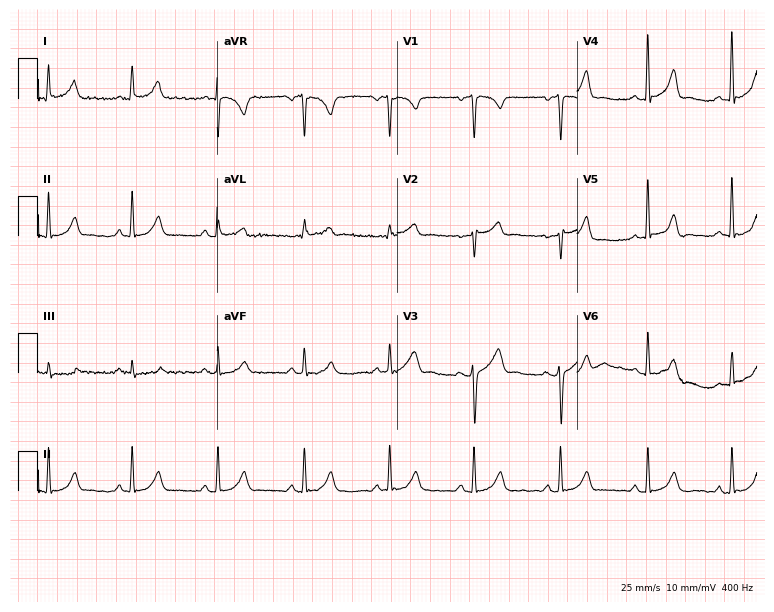
Standard 12-lead ECG recorded from a female patient, 24 years old (7.3-second recording at 400 Hz). None of these six findings is recorded: first-degree AV block, right bundle branch block, left bundle branch block, sinus bradycardia, atrial fibrillation, sinus tachycardia.